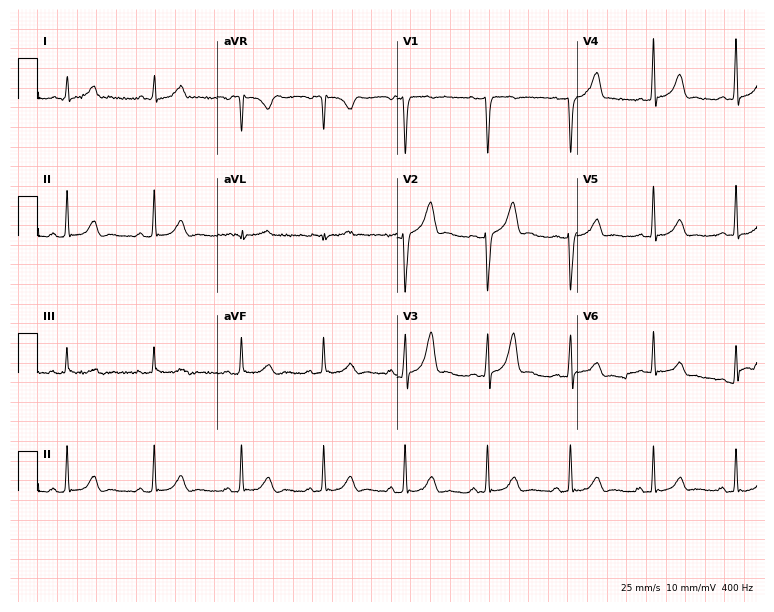
12-lead ECG from a 42-year-old male. Recorded interpretation: within normal limits.